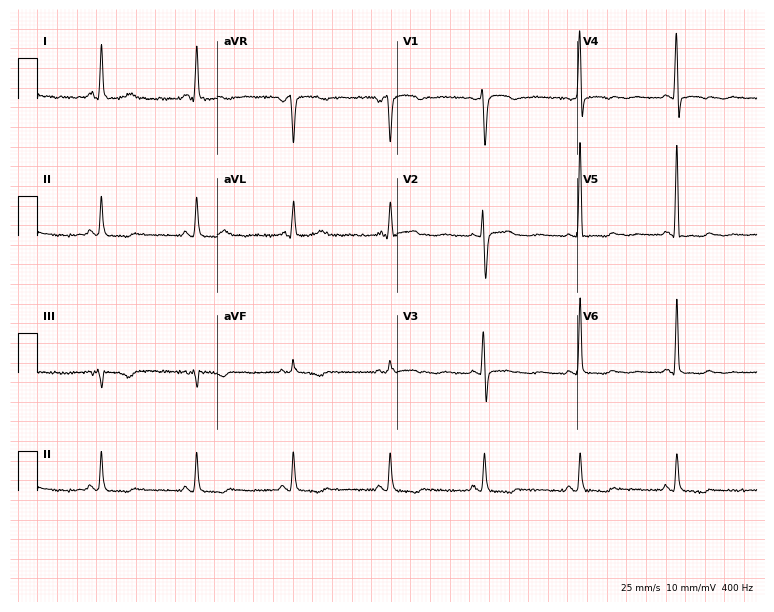
ECG — a female patient, 73 years old. Screened for six findings — first-degree AV block, right bundle branch block, left bundle branch block, sinus bradycardia, atrial fibrillation, sinus tachycardia — none is recorded. Only these six findings were labelled.